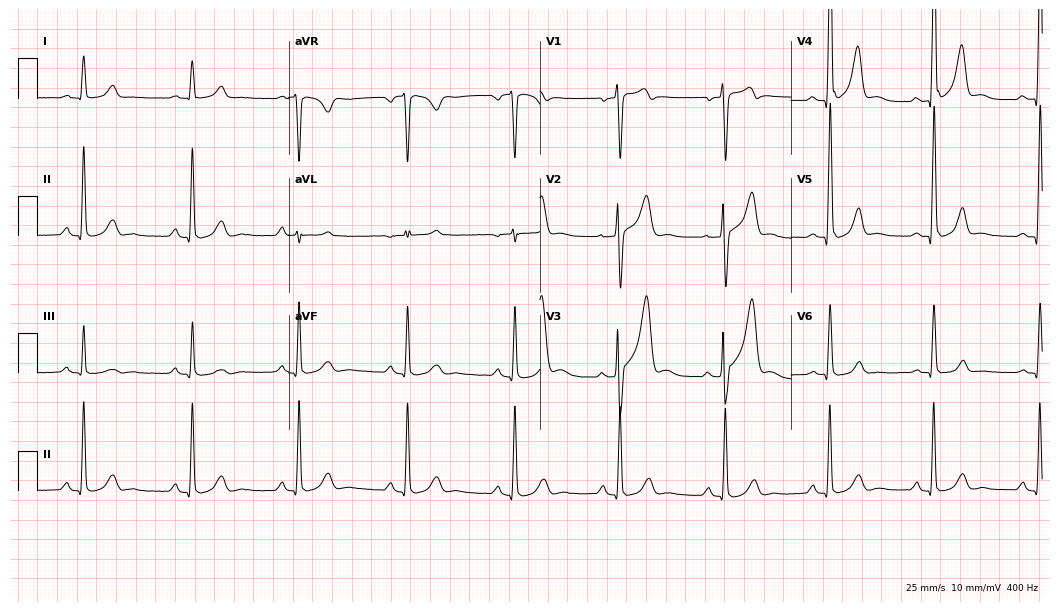
12-lead ECG (10.2-second recording at 400 Hz) from a 52-year-old man. Screened for six findings — first-degree AV block, right bundle branch block (RBBB), left bundle branch block (LBBB), sinus bradycardia, atrial fibrillation (AF), sinus tachycardia — none is recorded. Only these six findings were labelled.